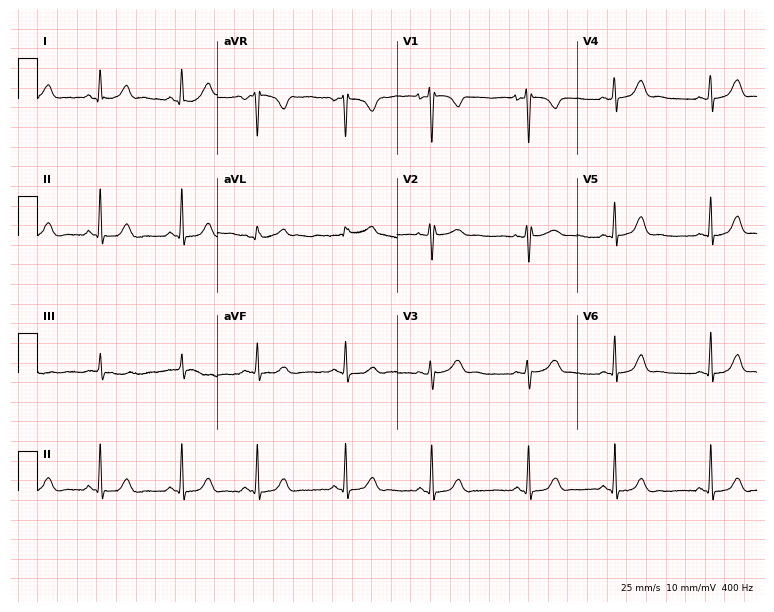
12-lead ECG from a female patient, 19 years old. No first-degree AV block, right bundle branch block, left bundle branch block, sinus bradycardia, atrial fibrillation or sinus tachycardia recorded for this tracing. Only these six findings were labelled.